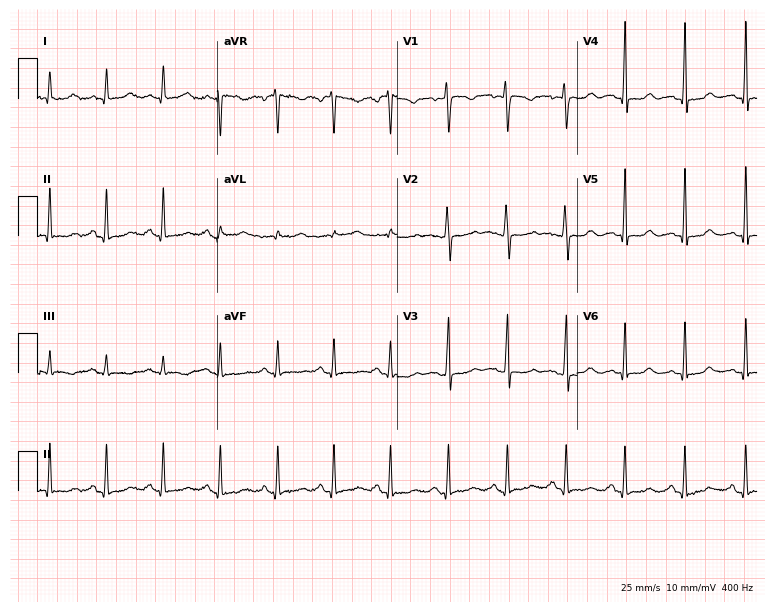
Standard 12-lead ECG recorded from a female patient, 37 years old. None of these six findings is recorded: first-degree AV block, right bundle branch block, left bundle branch block, sinus bradycardia, atrial fibrillation, sinus tachycardia. Other findings, if any, are not listed.